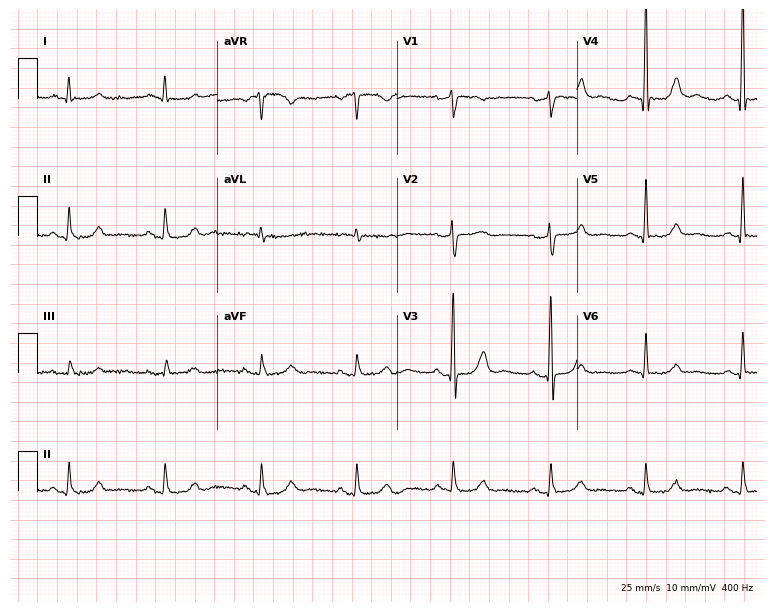
Standard 12-lead ECG recorded from an 85-year-old male (7.3-second recording at 400 Hz). Read as a normal ECG.